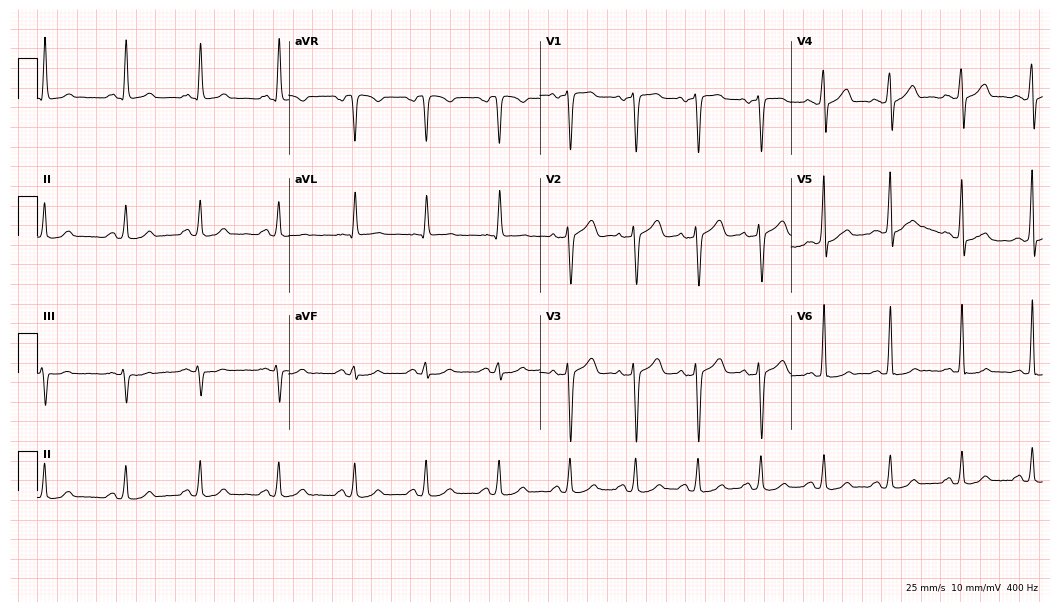
Resting 12-lead electrocardiogram. Patient: a 35-year-old female. Read as a normal ECG.